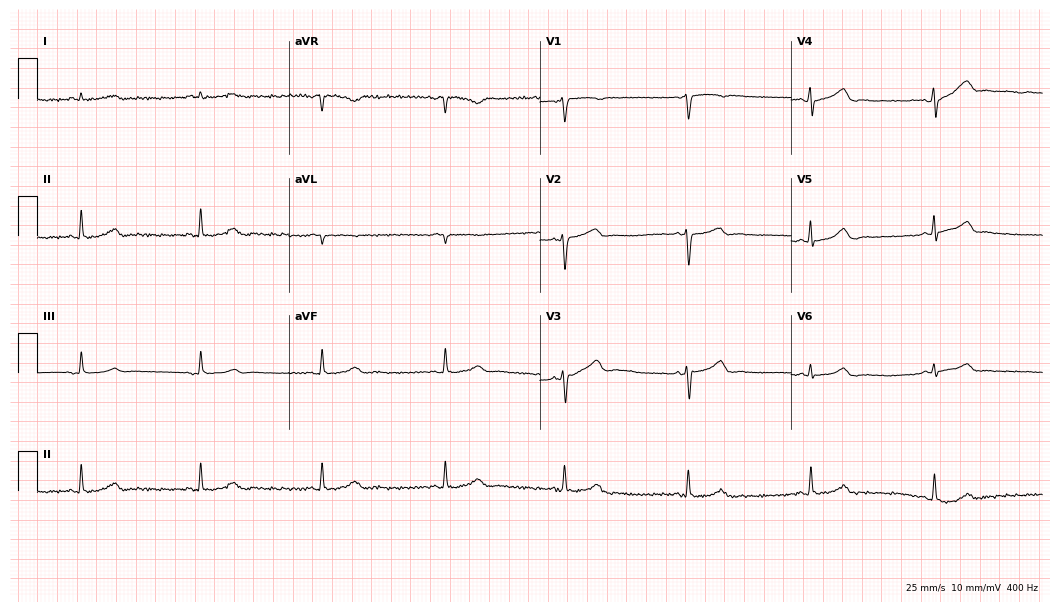
Electrocardiogram (10.2-second recording at 400 Hz), a male, 61 years old. Interpretation includes sinus bradycardia (a sinus rate of 50 beats per minute or less).